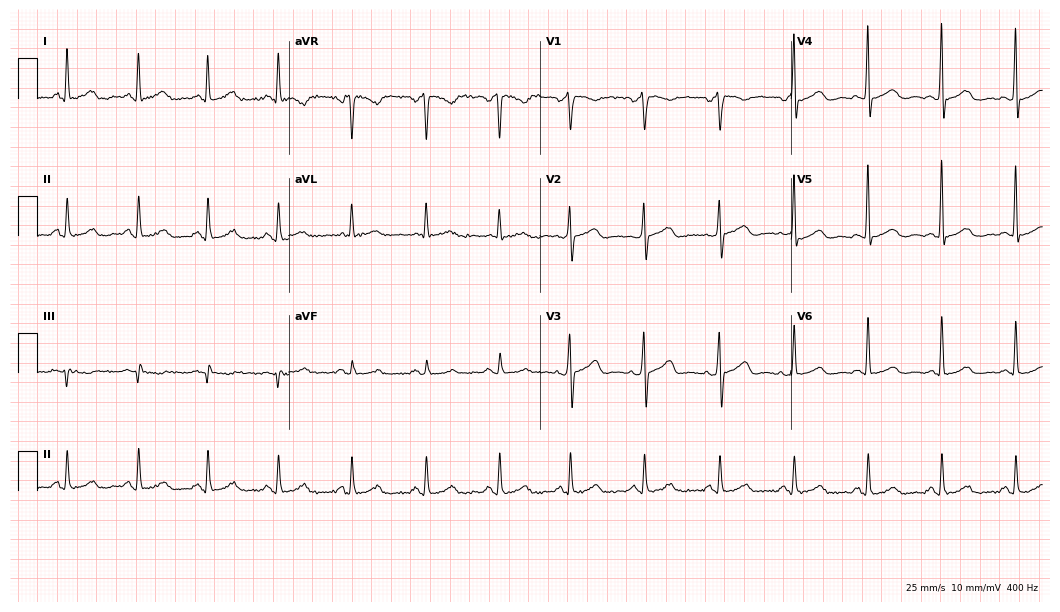
12-lead ECG (10.2-second recording at 400 Hz) from a 69-year-old female patient. Screened for six findings — first-degree AV block, right bundle branch block, left bundle branch block, sinus bradycardia, atrial fibrillation, sinus tachycardia — none is recorded. Only these six findings were labelled.